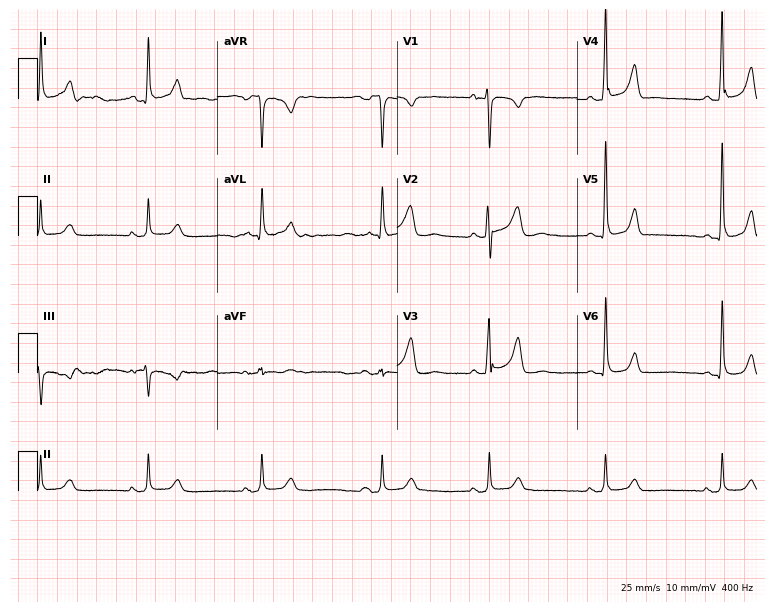
12-lead ECG from a 60-year-old female patient. No first-degree AV block, right bundle branch block (RBBB), left bundle branch block (LBBB), sinus bradycardia, atrial fibrillation (AF) or sinus tachycardia recorded for this tracing.